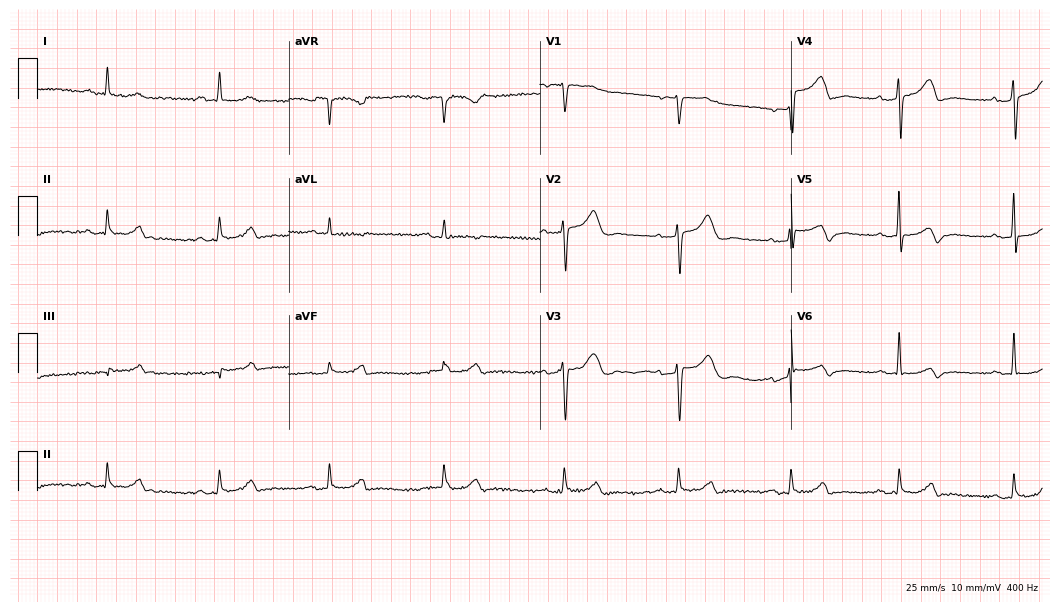
ECG — a woman, 68 years old. Findings include first-degree AV block.